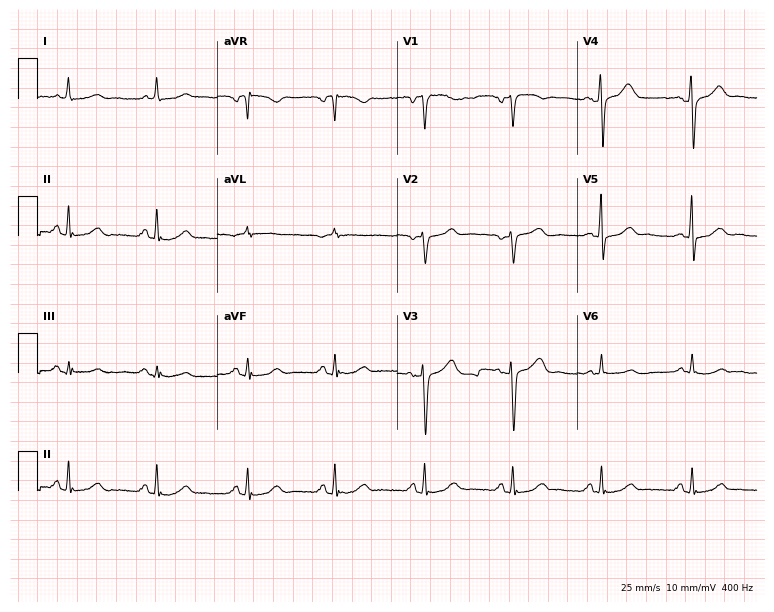
Standard 12-lead ECG recorded from a female patient, 49 years old. Read as a normal ECG.